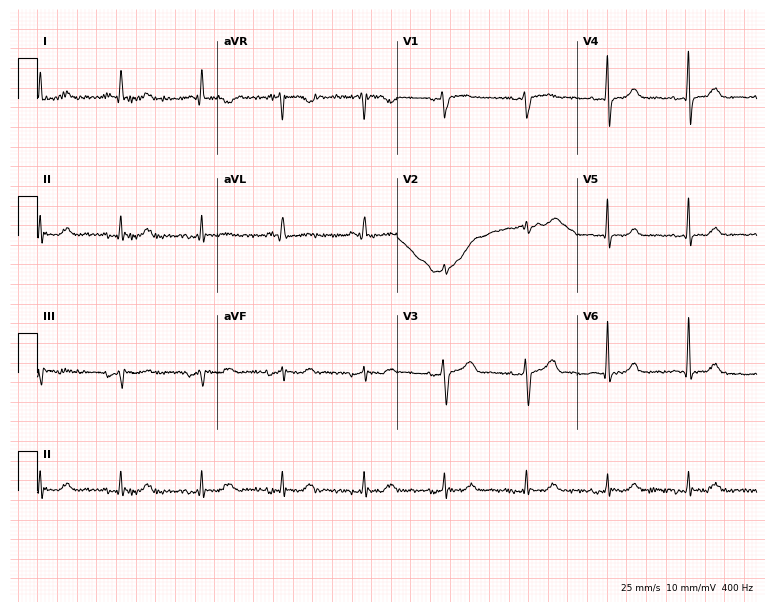
Electrocardiogram (7.3-second recording at 400 Hz), a 79-year-old male patient. Overall reading on record: normal ECG.